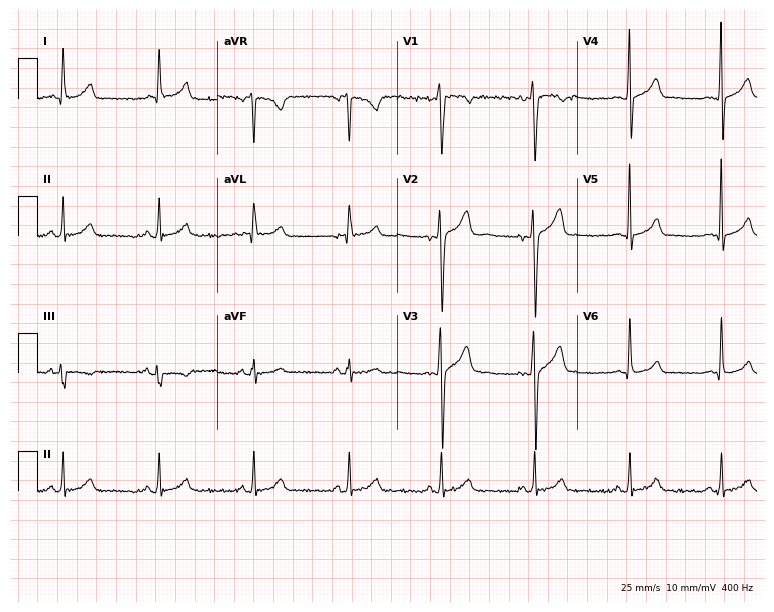
ECG — an 18-year-old man. Screened for six findings — first-degree AV block, right bundle branch block (RBBB), left bundle branch block (LBBB), sinus bradycardia, atrial fibrillation (AF), sinus tachycardia — none is recorded. Findings outside these six are not listed.